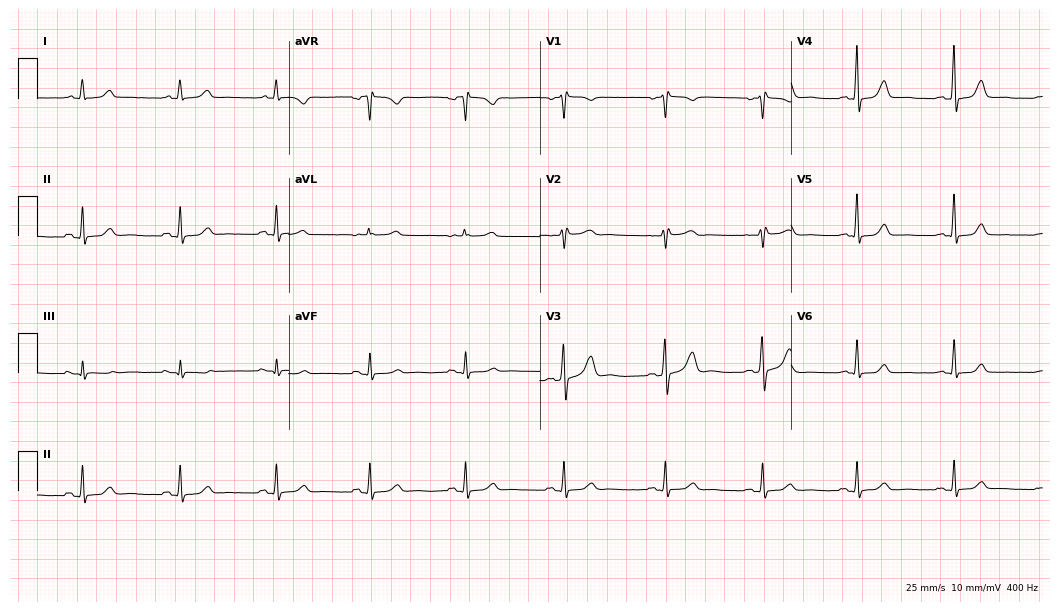
Standard 12-lead ECG recorded from a female, 47 years old (10.2-second recording at 400 Hz). None of these six findings is recorded: first-degree AV block, right bundle branch block, left bundle branch block, sinus bradycardia, atrial fibrillation, sinus tachycardia.